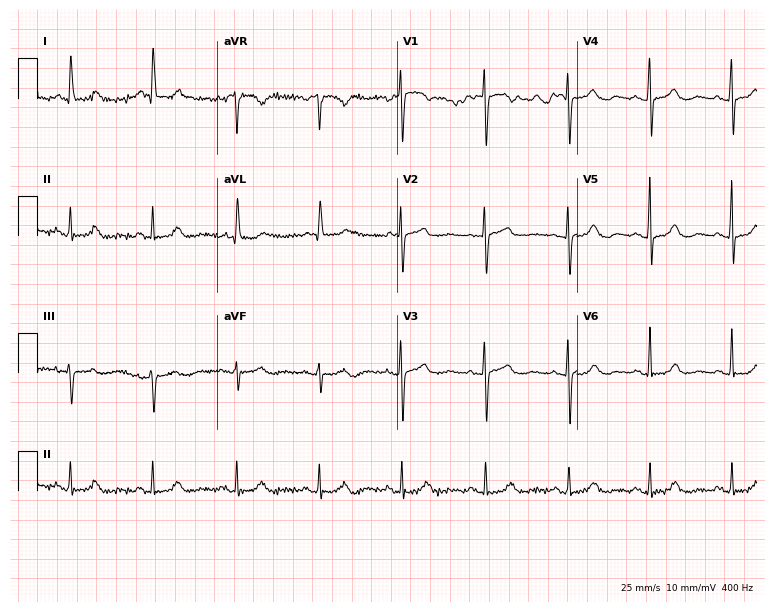
Electrocardiogram, a 70-year-old woman. Overall reading on record: normal ECG.